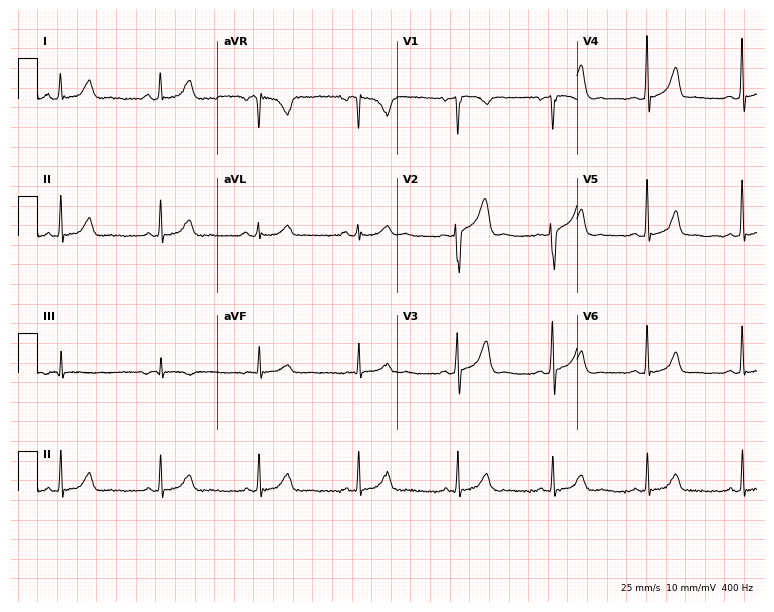
12-lead ECG from a man, 48 years old. Labelled as a normal ECG.